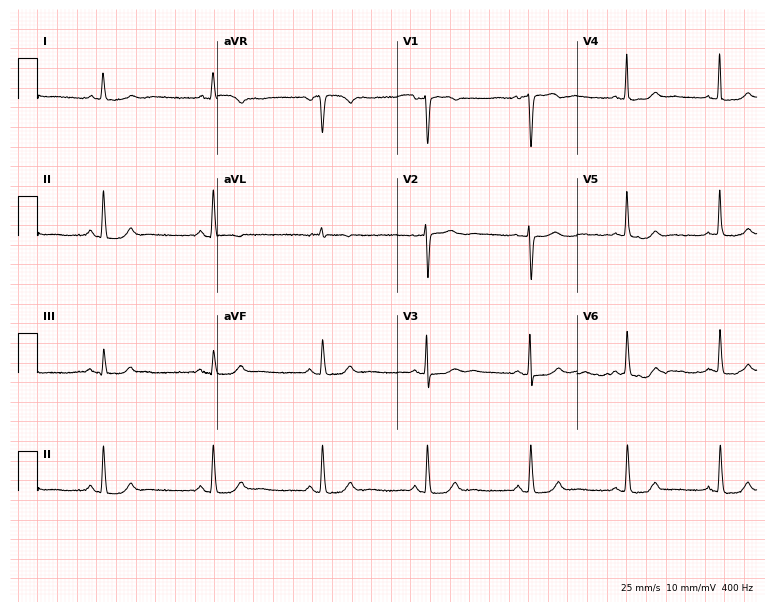
ECG — a female patient, 68 years old. Labelled as a normal ECG.